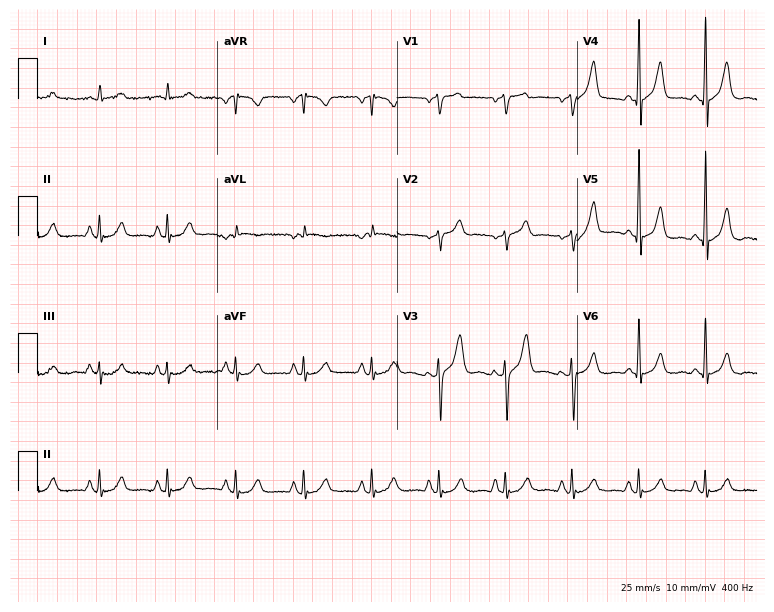
ECG — a 67-year-old male patient. Screened for six findings — first-degree AV block, right bundle branch block, left bundle branch block, sinus bradycardia, atrial fibrillation, sinus tachycardia — none is recorded.